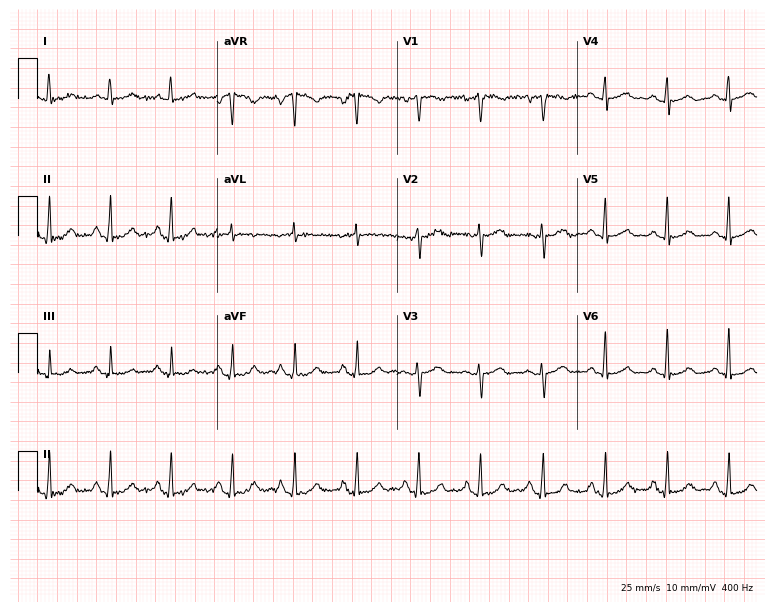
Resting 12-lead electrocardiogram. Patient: a female, 51 years old. Read as a normal ECG.